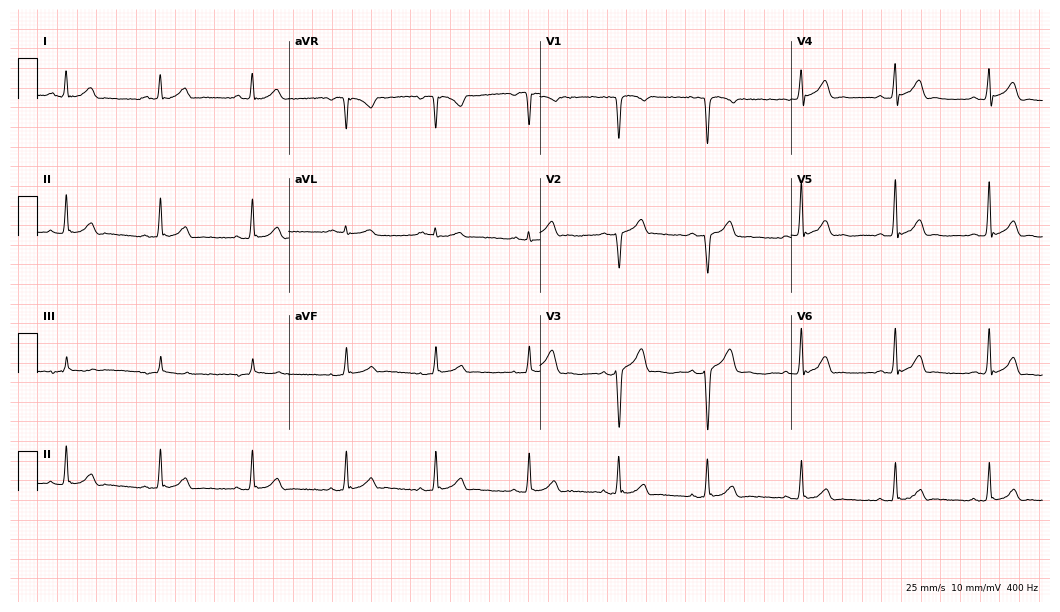
ECG — a 25-year-old man. Labelled as a normal ECG.